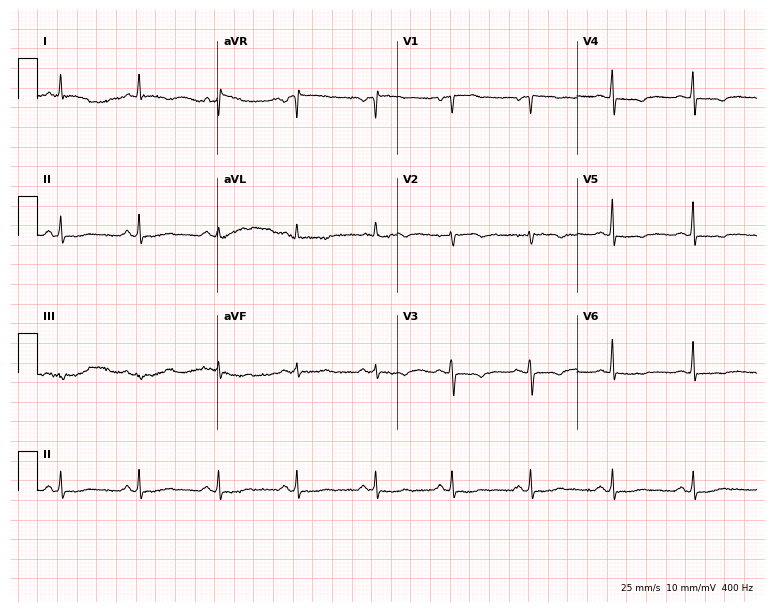
12-lead ECG from a 70-year-old woman. No first-degree AV block, right bundle branch block, left bundle branch block, sinus bradycardia, atrial fibrillation or sinus tachycardia recorded for this tracing.